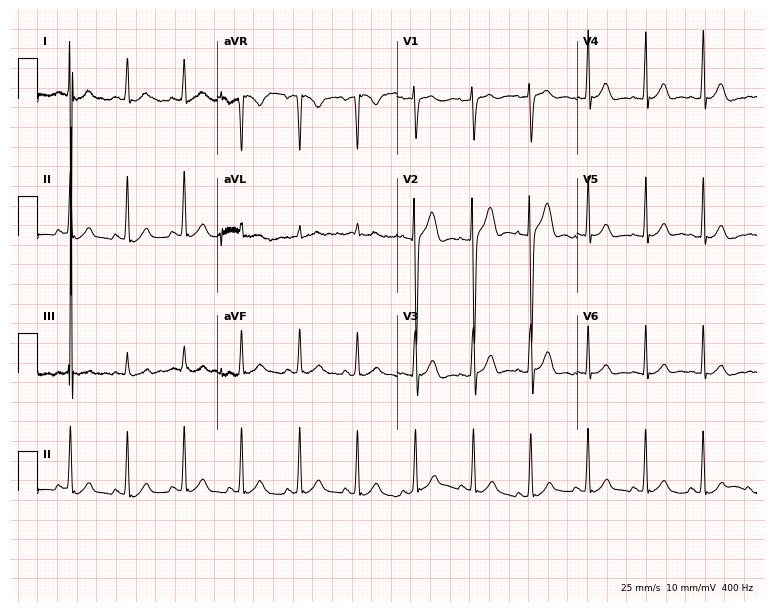
Standard 12-lead ECG recorded from a 21-year-old male. The tracing shows sinus tachycardia (a sinus rate of 100 beats per minute or more).